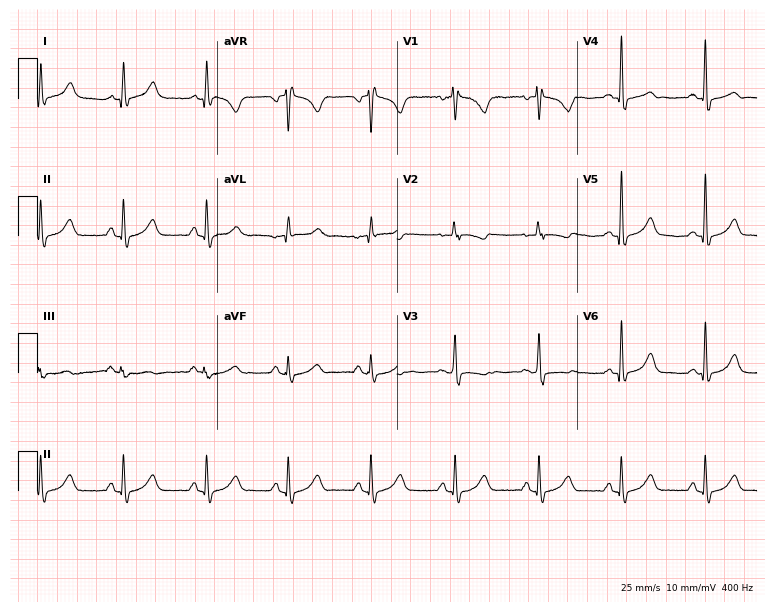
12-lead ECG (7.3-second recording at 400 Hz) from a woman, 43 years old. Labelled as a normal ECG.